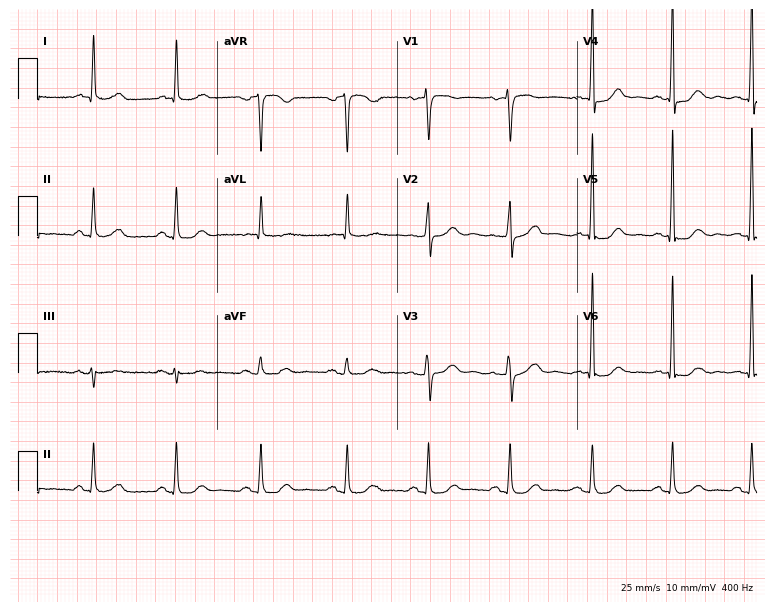
Resting 12-lead electrocardiogram (7.3-second recording at 400 Hz). Patient: a 65-year-old female. Read as a normal ECG.